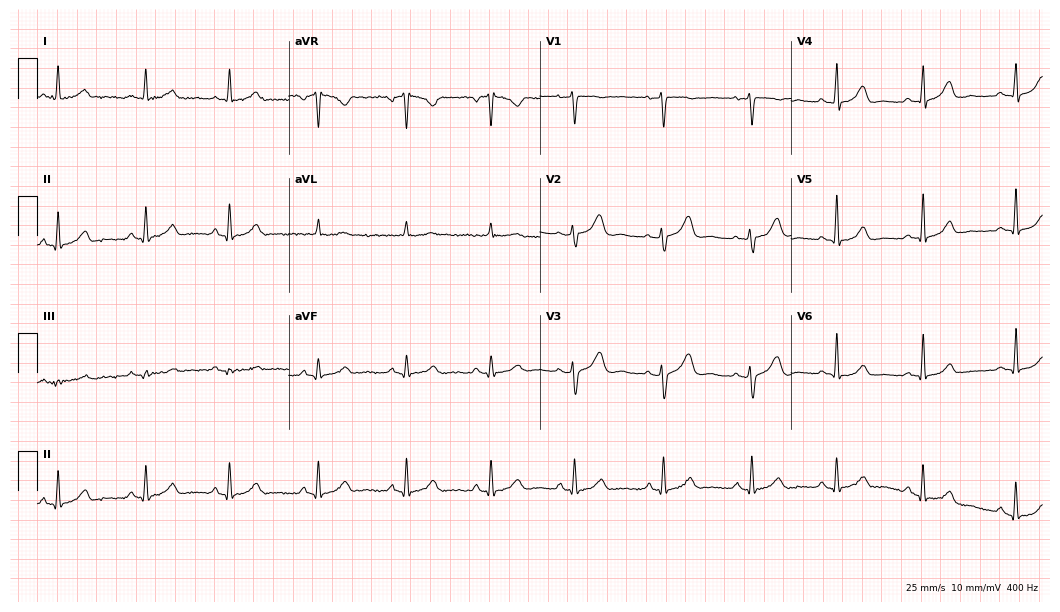
12-lead ECG from a 41-year-old female (10.2-second recording at 400 Hz). Recorded interpretation: within normal limits.